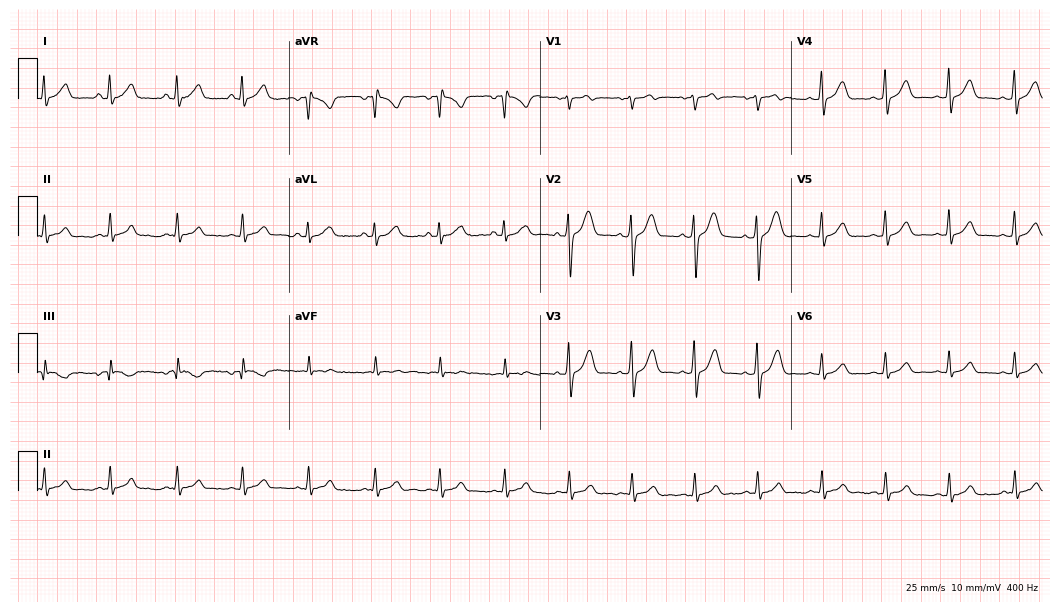
Electrocardiogram, a 24-year-old female. Of the six screened findings (first-degree AV block, right bundle branch block, left bundle branch block, sinus bradycardia, atrial fibrillation, sinus tachycardia), none is recorded.